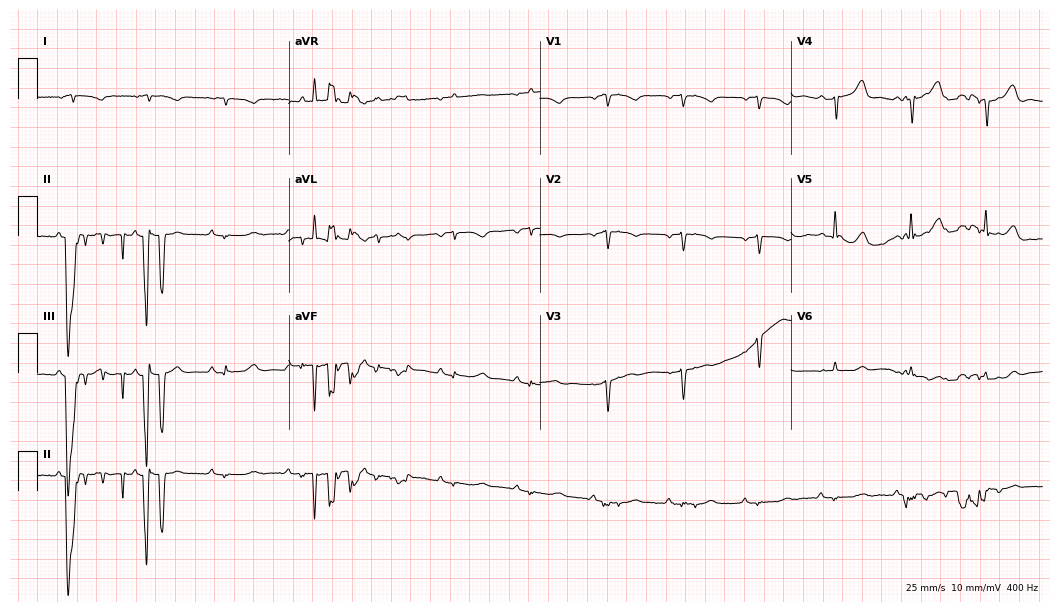
12-lead ECG from an 85-year-old female patient. No first-degree AV block, right bundle branch block (RBBB), left bundle branch block (LBBB), sinus bradycardia, atrial fibrillation (AF) or sinus tachycardia recorded for this tracing. Findings outside these six are not listed.